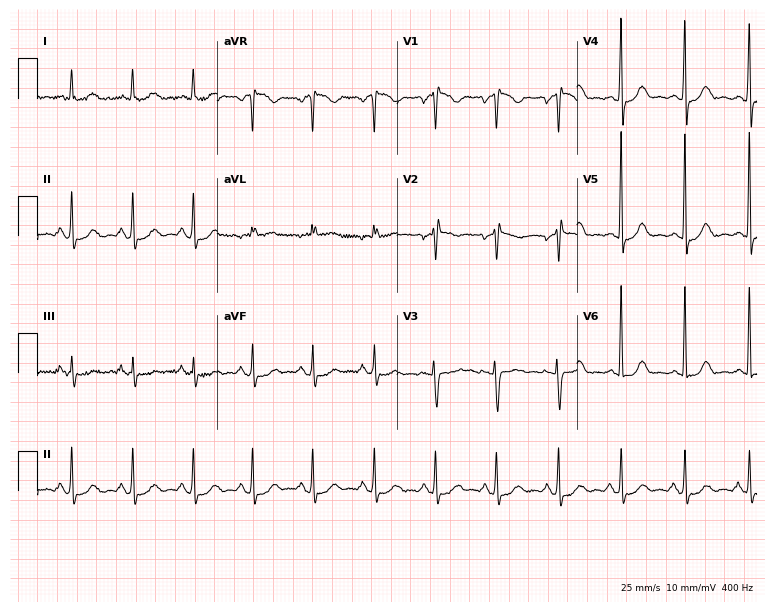
Electrocardiogram, a woman, 54 years old. Overall reading on record: normal ECG.